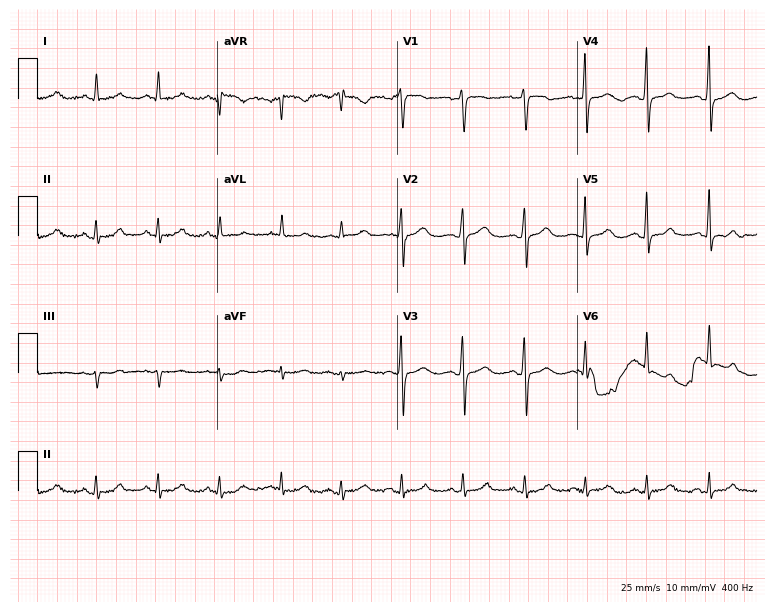
Standard 12-lead ECG recorded from a 49-year-old woman (7.3-second recording at 400 Hz). Read as a normal ECG.